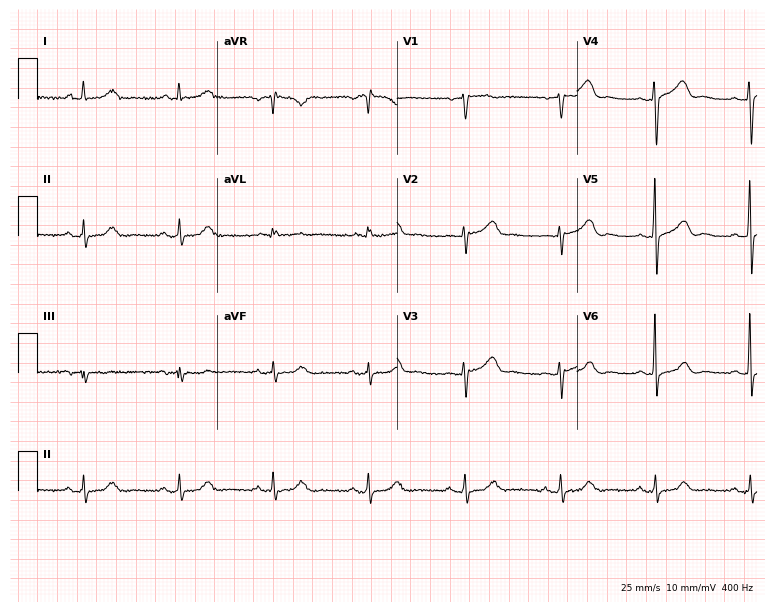
Electrocardiogram (7.3-second recording at 400 Hz), a woman, 67 years old. Overall reading on record: normal ECG.